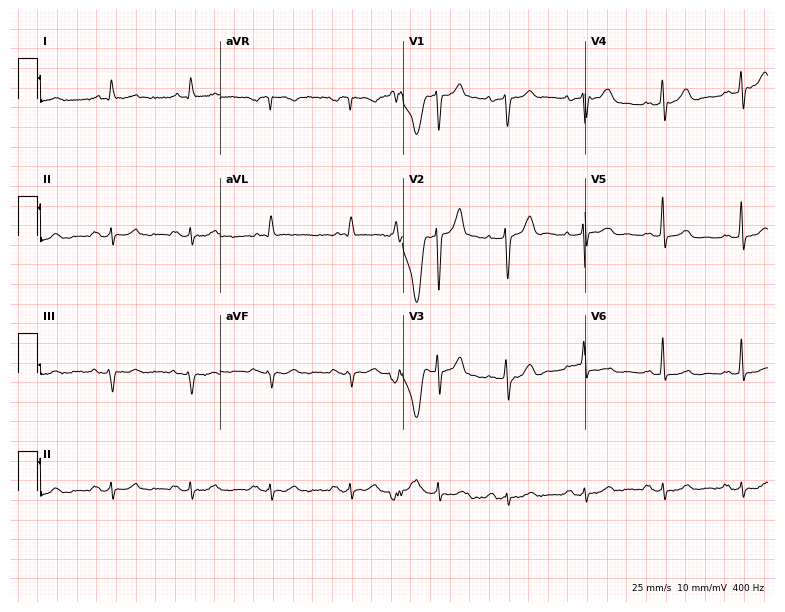
Resting 12-lead electrocardiogram (7.4-second recording at 400 Hz). Patient: a 73-year-old male. None of these six findings is recorded: first-degree AV block, right bundle branch block, left bundle branch block, sinus bradycardia, atrial fibrillation, sinus tachycardia.